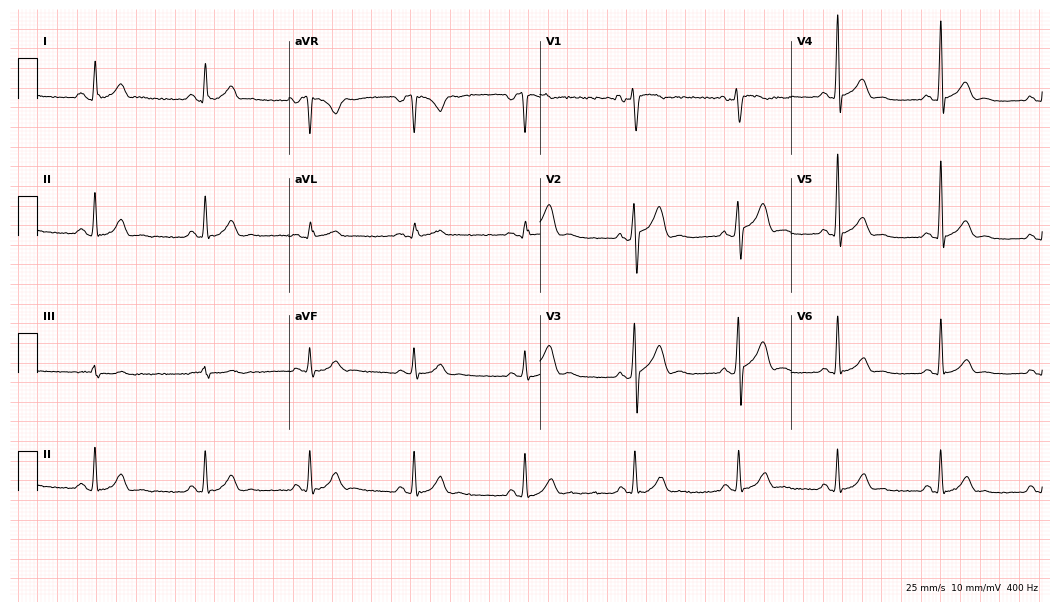
12-lead ECG from a male patient, 33 years old (10.2-second recording at 400 Hz). Recorded interpretation: within normal limits.